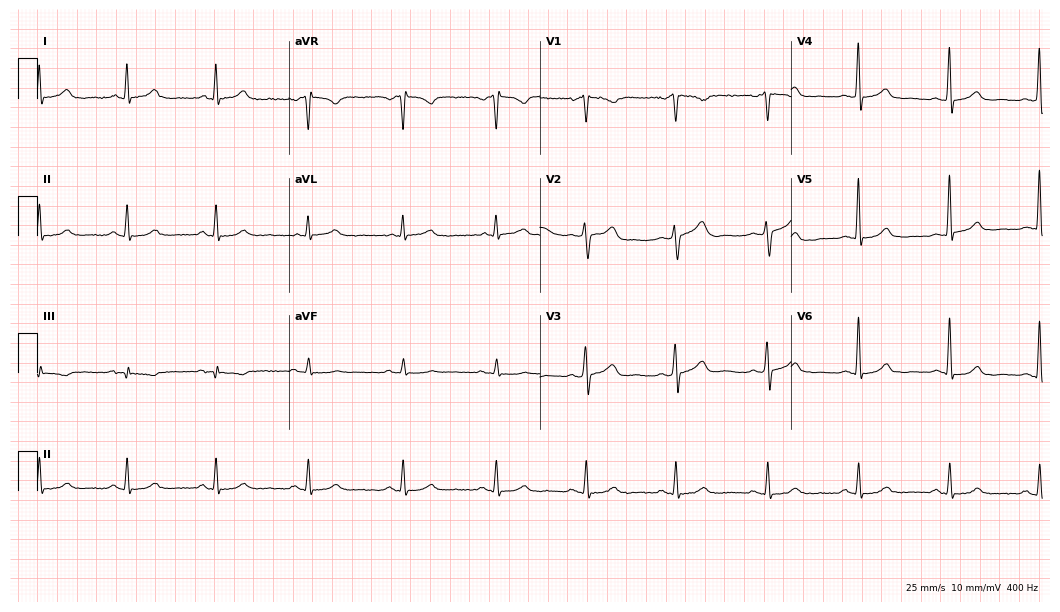
ECG (10.2-second recording at 400 Hz) — a man, 49 years old. Labelled as a normal ECG.